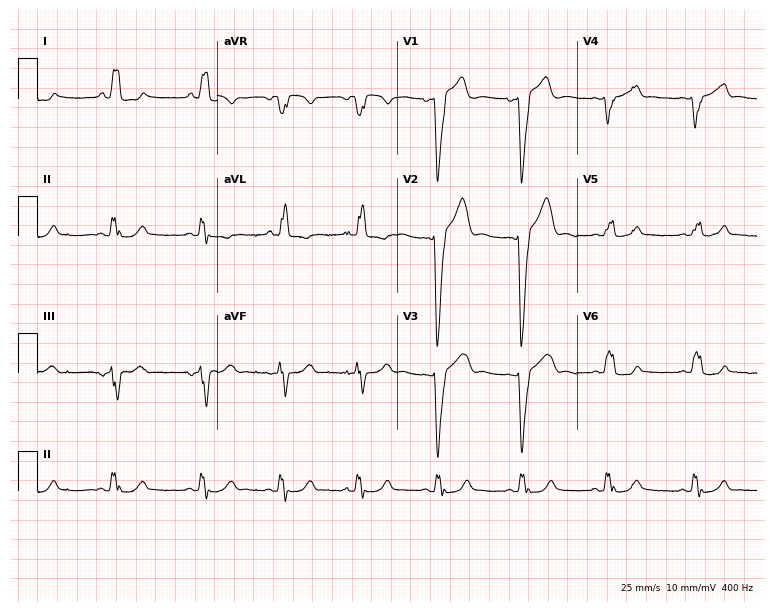
Resting 12-lead electrocardiogram. Patient: a woman, 34 years old. The tracing shows left bundle branch block.